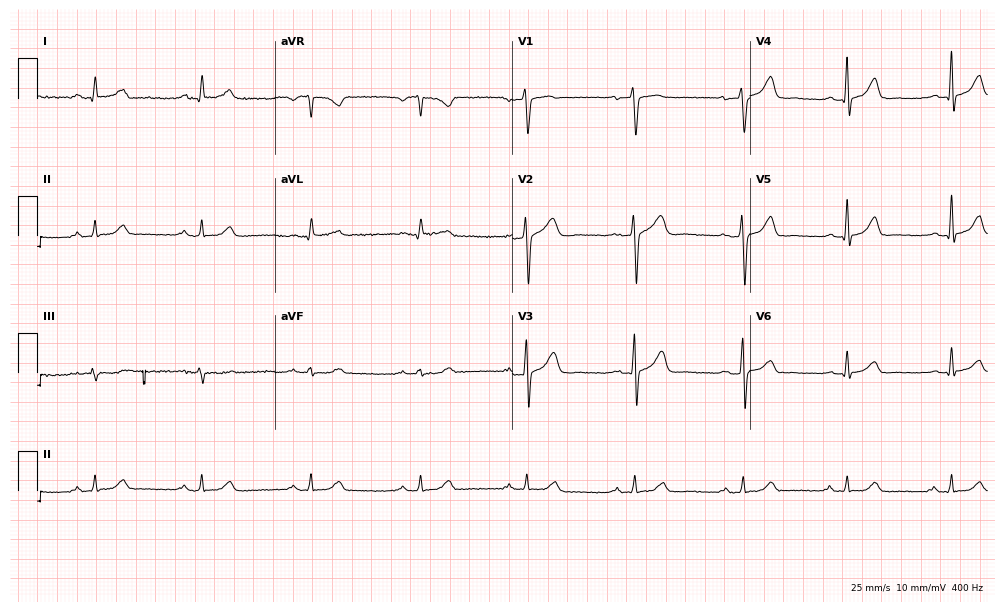
Electrocardiogram, a female patient, 50 years old. Overall reading on record: normal ECG.